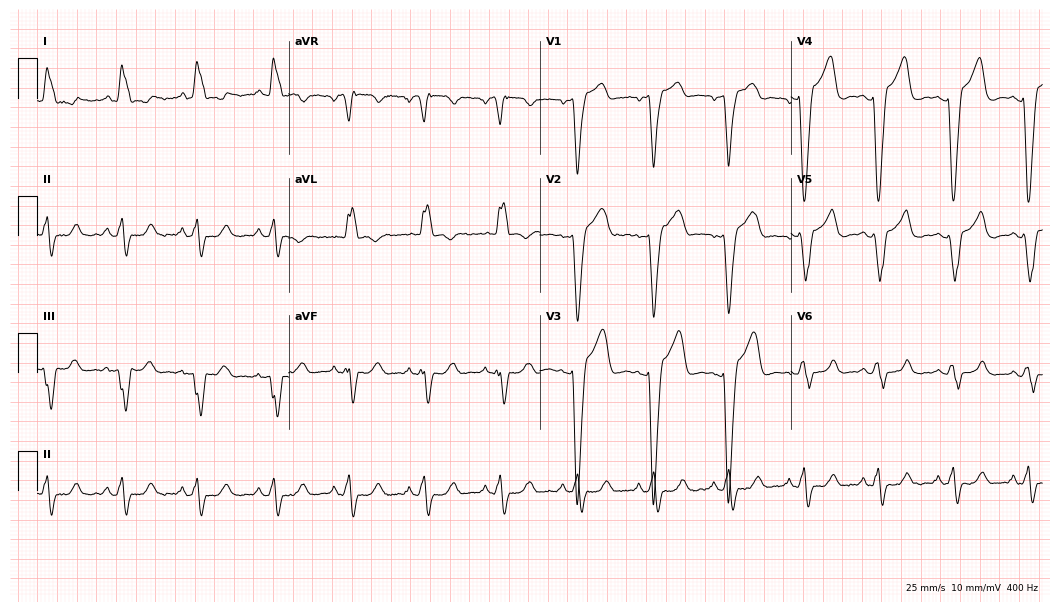
Resting 12-lead electrocardiogram (10.2-second recording at 400 Hz). Patient: a 35-year-old woman. The tracing shows left bundle branch block.